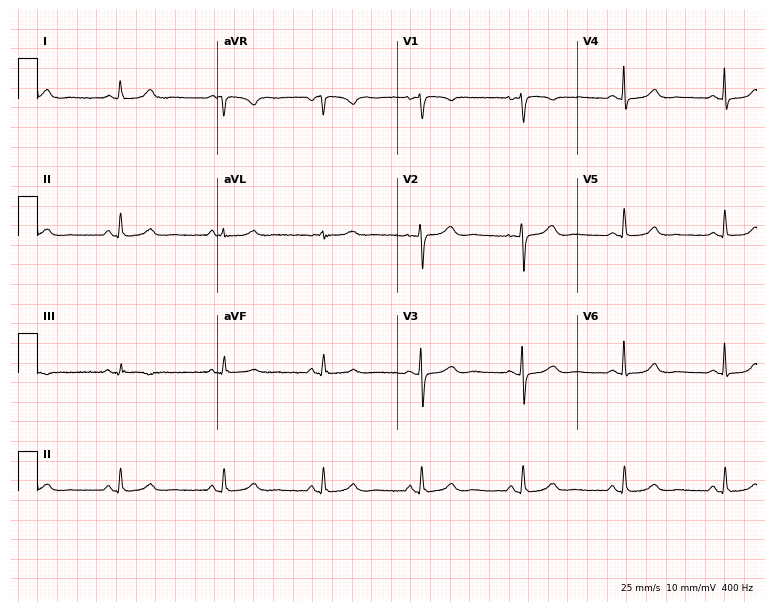
Standard 12-lead ECG recorded from a female patient, 51 years old (7.3-second recording at 400 Hz). Read as a normal ECG.